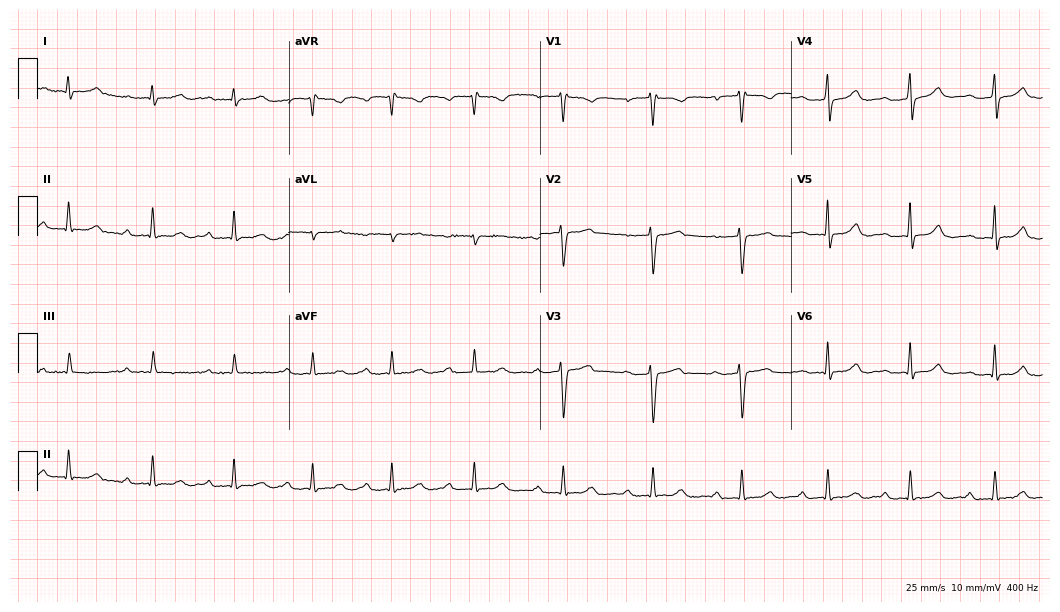
12-lead ECG (10.2-second recording at 400 Hz) from a 37-year-old female. Findings include first-degree AV block.